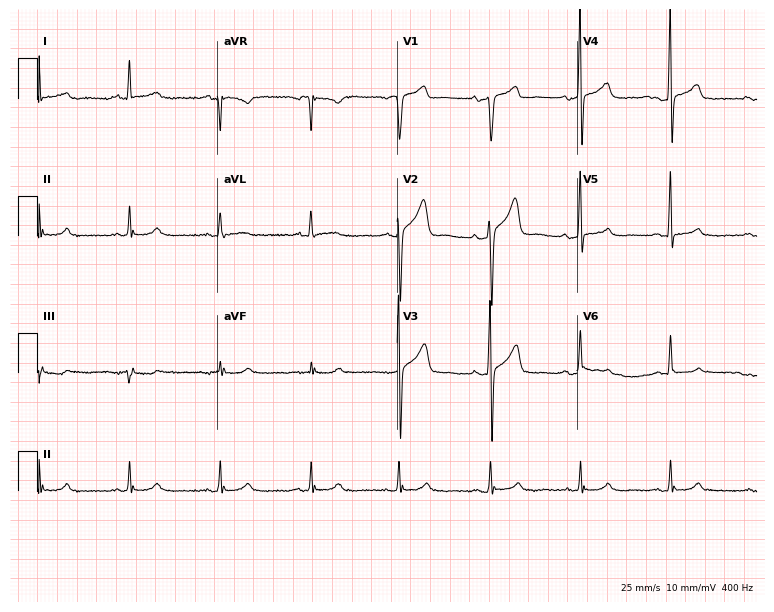
Resting 12-lead electrocardiogram (7.3-second recording at 400 Hz). Patient: a male, 58 years old. None of these six findings is recorded: first-degree AV block, right bundle branch block, left bundle branch block, sinus bradycardia, atrial fibrillation, sinus tachycardia. Findings outside these six are not listed.